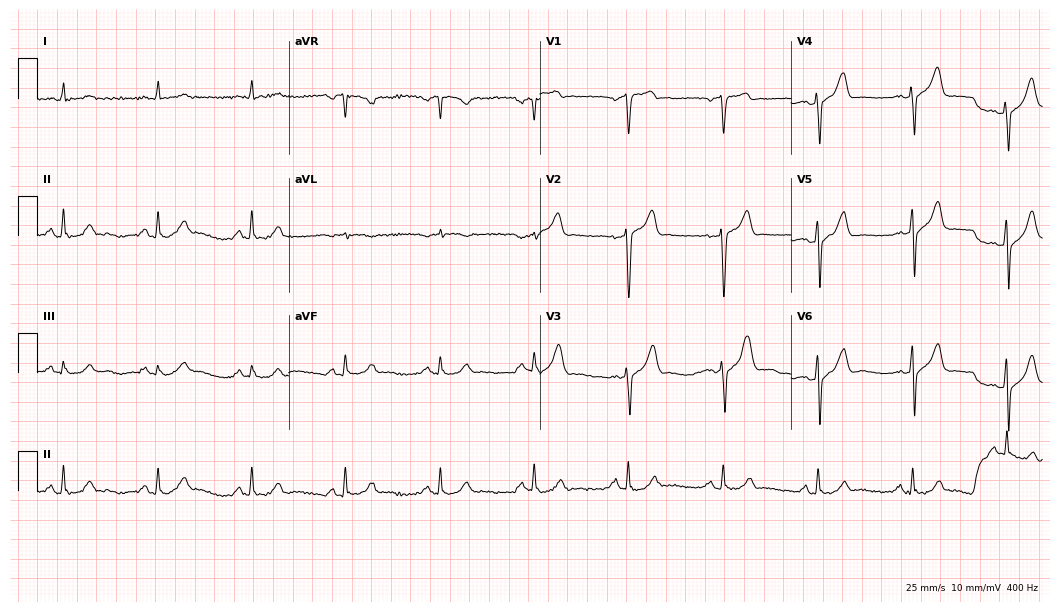
Standard 12-lead ECG recorded from a male patient, 64 years old. None of these six findings is recorded: first-degree AV block, right bundle branch block, left bundle branch block, sinus bradycardia, atrial fibrillation, sinus tachycardia.